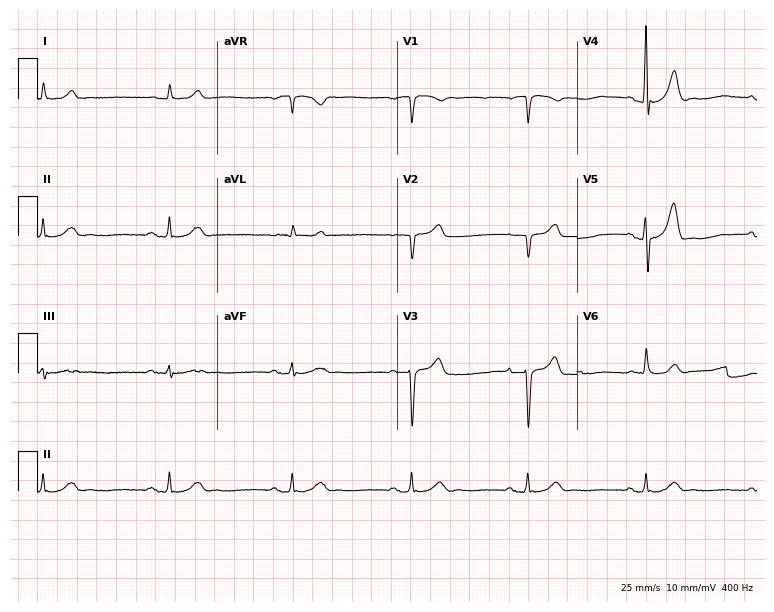
ECG (7.3-second recording at 400 Hz) — a male patient, 74 years old. Screened for six findings — first-degree AV block, right bundle branch block (RBBB), left bundle branch block (LBBB), sinus bradycardia, atrial fibrillation (AF), sinus tachycardia — none is recorded. Other findings, if any, are not listed.